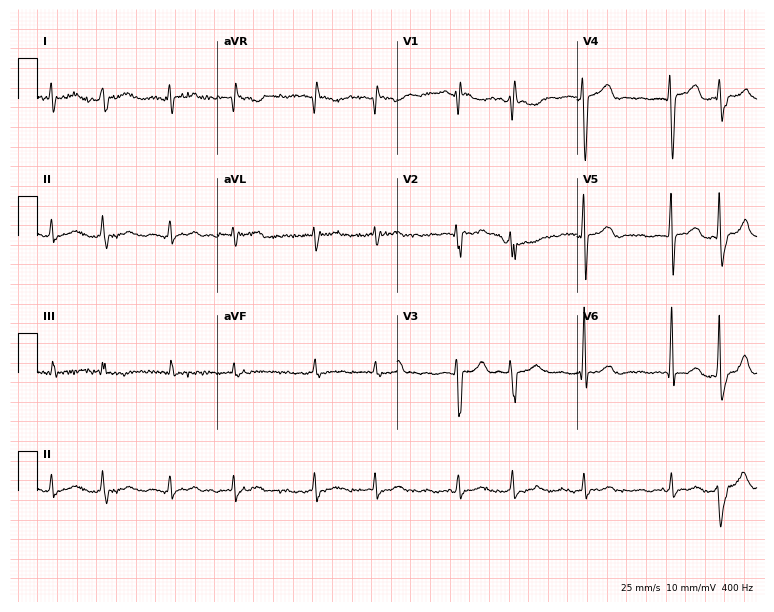
ECG — a 77-year-old female. Findings include atrial fibrillation.